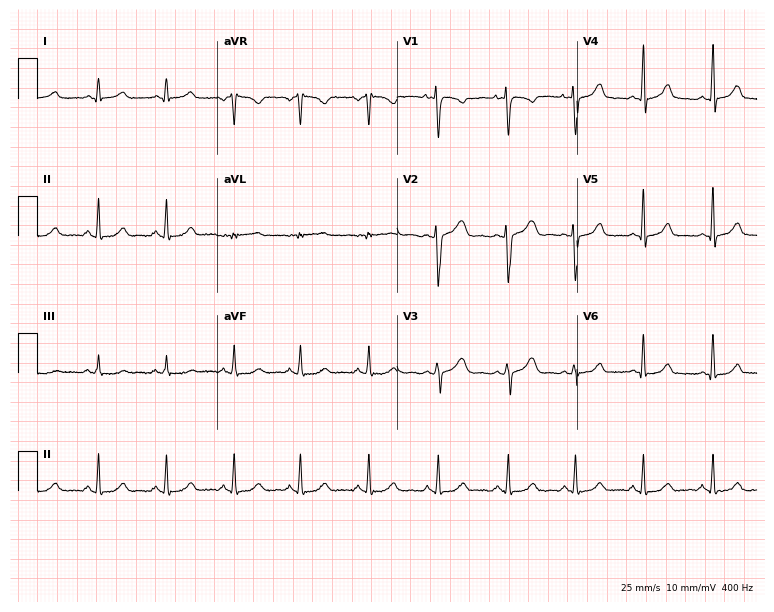
Standard 12-lead ECG recorded from a 21-year-old female (7.3-second recording at 400 Hz). Read as a normal ECG.